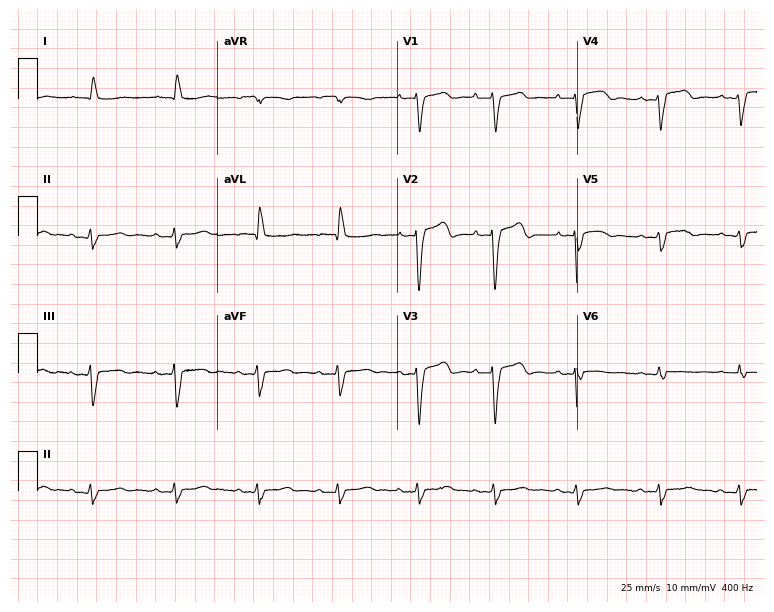
Standard 12-lead ECG recorded from a female, 71 years old. None of these six findings is recorded: first-degree AV block, right bundle branch block, left bundle branch block, sinus bradycardia, atrial fibrillation, sinus tachycardia. Only these six findings were labelled.